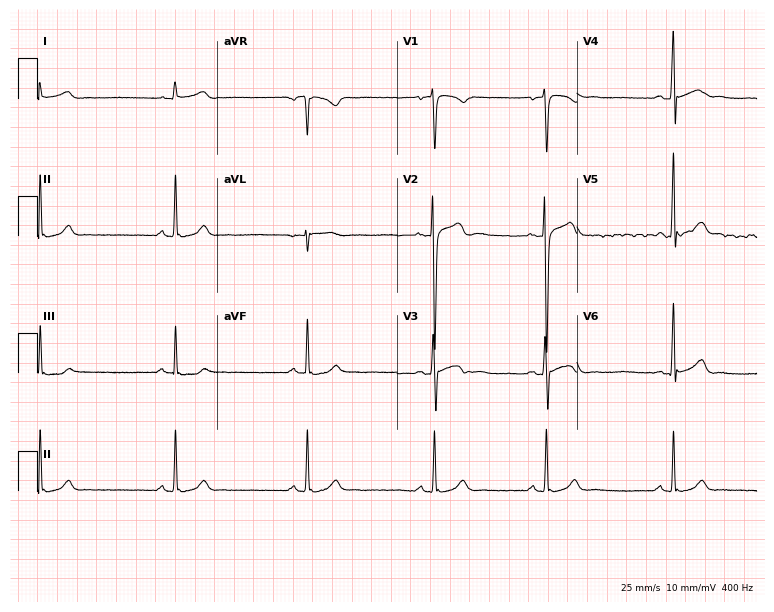
12-lead ECG from a 23-year-old man. Recorded interpretation: within normal limits.